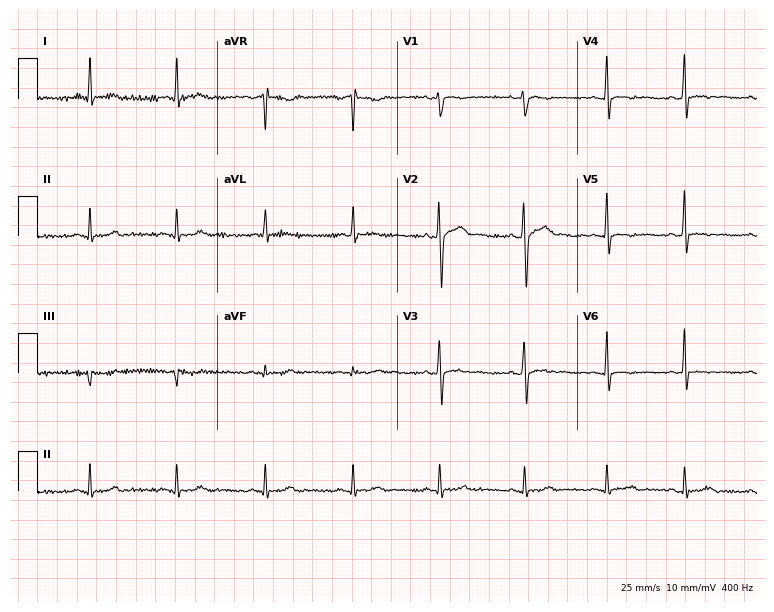
Resting 12-lead electrocardiogram. Patient: a 30-year-old male. None of these six findings is recorded: first-degree AV block, right bundle branch block (RBBB), left bundle branch block (LBBB), sinus bradycardia, atrial fibrillation (AF), sinus tachycardia. Other findings, if any, are not listed.